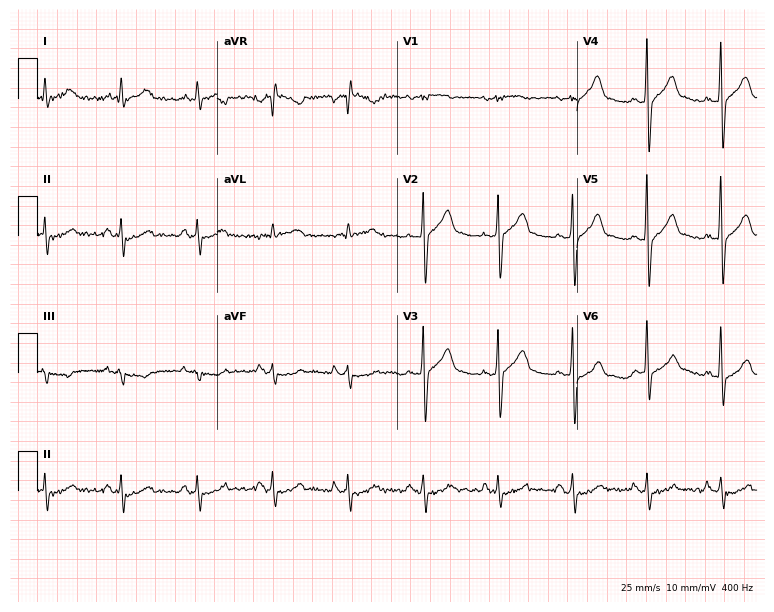
12-lead ECG from a male, 63 years old. Screened for six findings — first-degree AV block, right bundle branch block, left bundle branch block, sinus bradycardia, atrial fibrillation, sinus tachycardia — none is recorded.